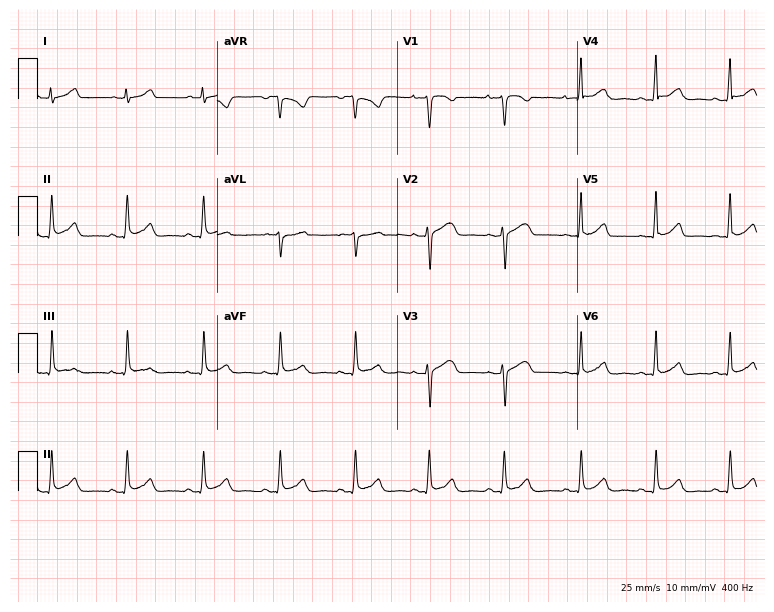
Standard 12-lead ECG recorded from a woman, 26 years old. None of these six findings is recorded: first-degree AV block, right bundle branch block, left bundle branch block, sinus bradycardia, atrial fibrillation, sinus tachycardia.